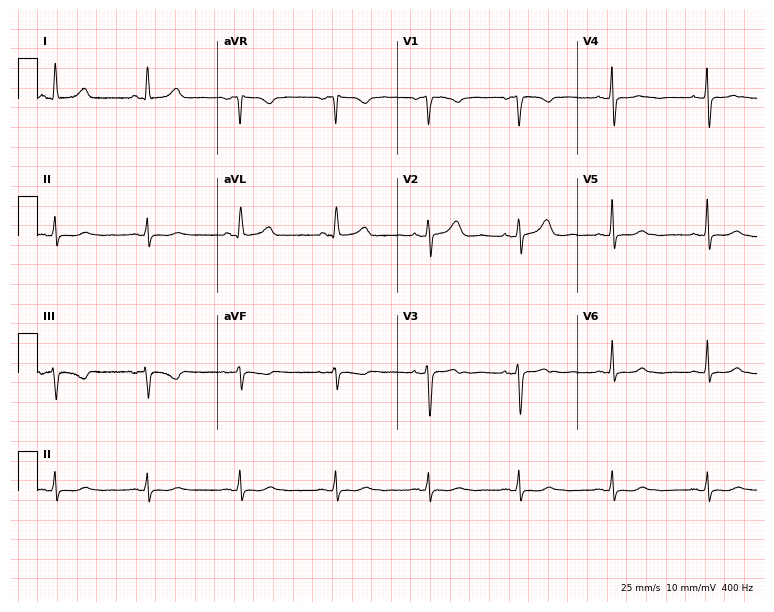
Standard 12-lead ECG recorded from a female, 44 years old (7.3-second recording at 400 Hz). None of these six findings is recorded: first-degree AV block, right bundle branch block (RBBB), left bundle branch block (LBBB), sinus bradycardia, atrial fibrillation (AF), sinus tachycardia. Other findings, if any, are not listed.